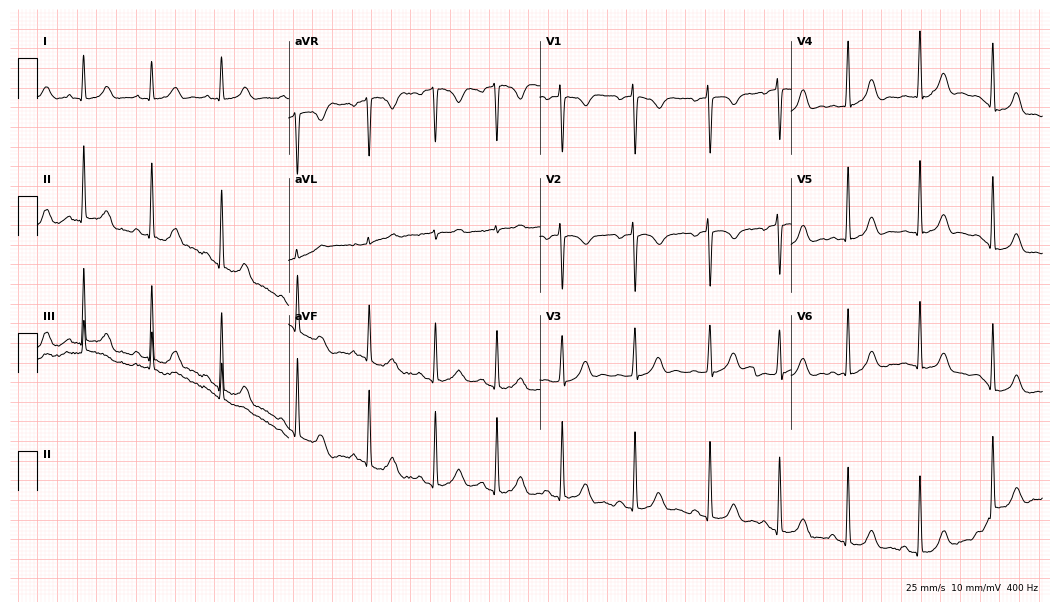
Resting 12-lead electrocardiogram (10.2-second recording at 400 Hz). Patient: a 30-year-old female. Read as a normal ECG.